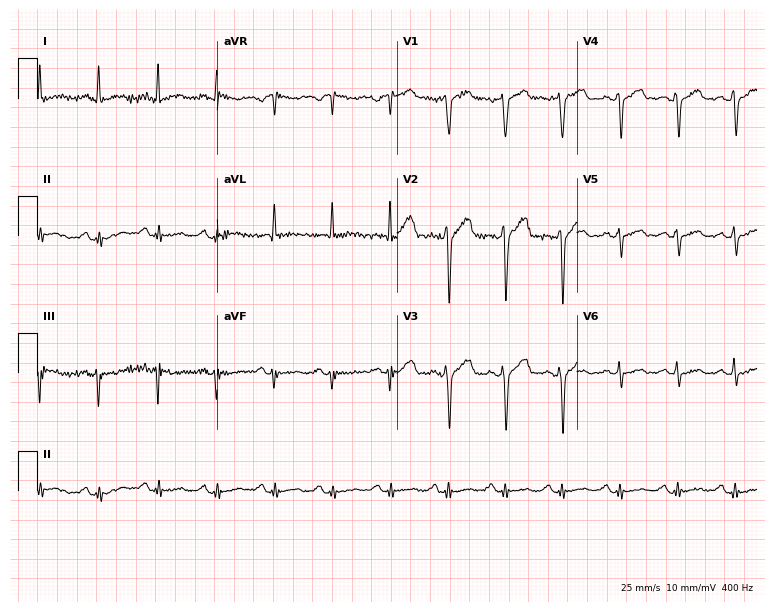
Electrocardiogram, a 47-year-old man. Interpretation includes sinus tachycardia (a sinus rate of 100 beats per minute or more).